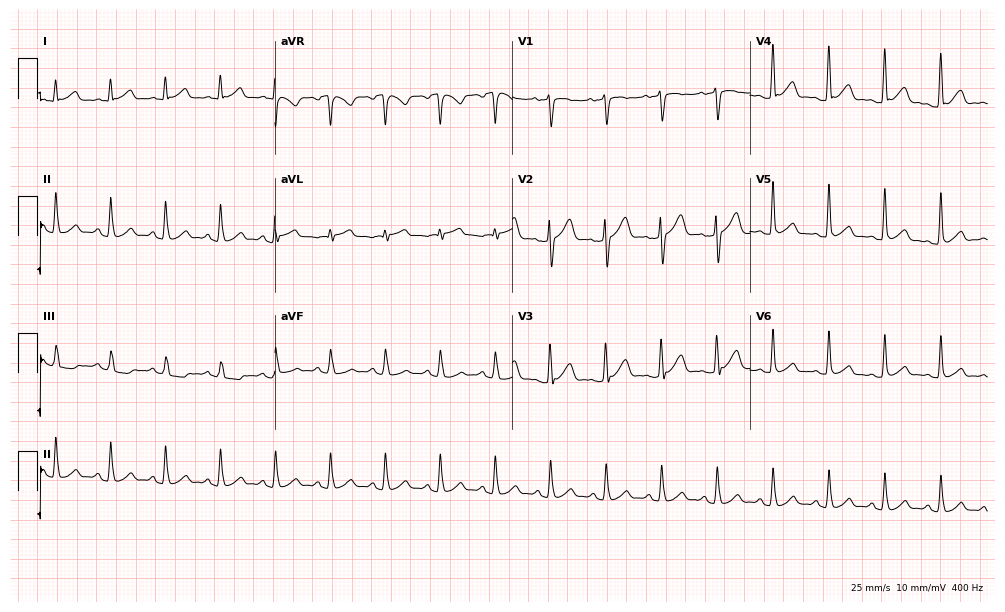
Standard 12-lead ECG recorded from a man, 30 years old. None of these six findings is recorded: first-degree AV block, right bundle branch block (RBBB), left bundle branch block (LBBB), sinus bradycardia, atrial fibrillation (AF), sinus tachycardia. Findings outside these six are not listed.